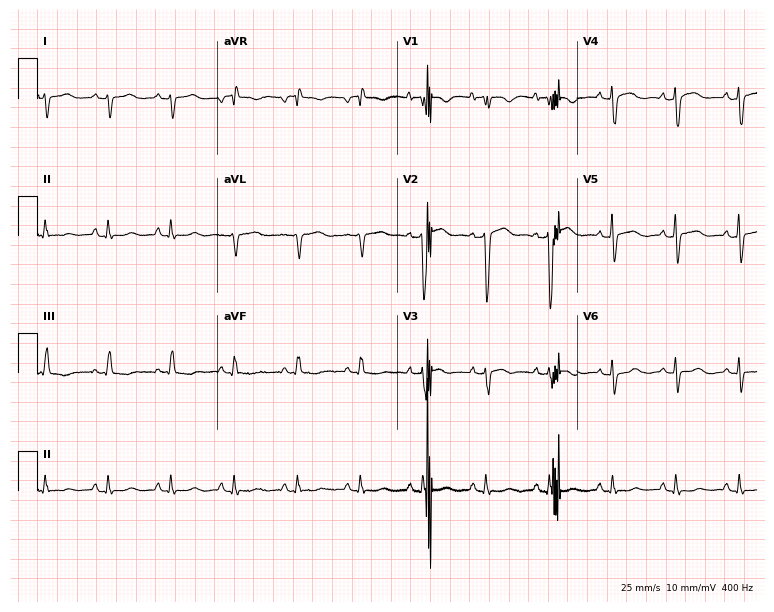
Electrocardiogram, a 77-year-old female patient. Of the six screened findings (first-degree AV block, right bundle branch block, left bundle branch block, sinus bradycardia, atrial fibrillation, sinus tachycardia), none is recorded.